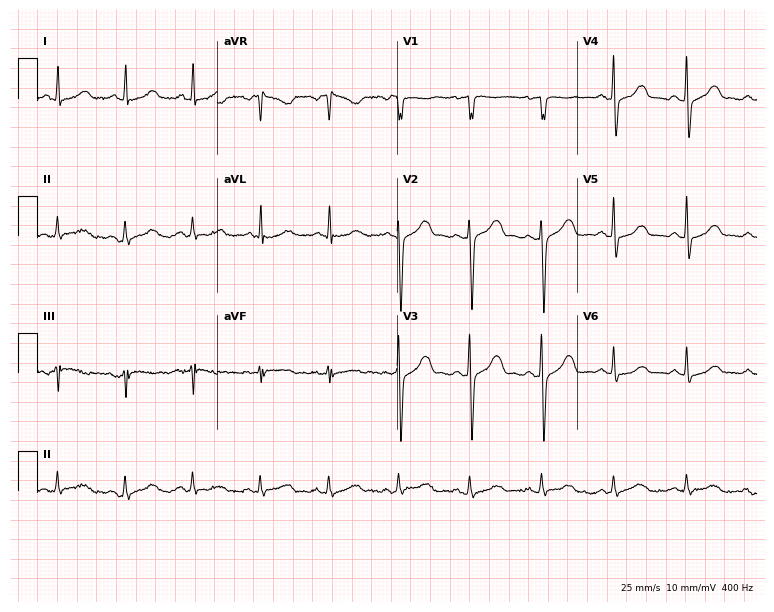
12-lead ECG (7.3-second recording at 400 Hz) from a 61-year-old female. Labelled as a normal ECG.